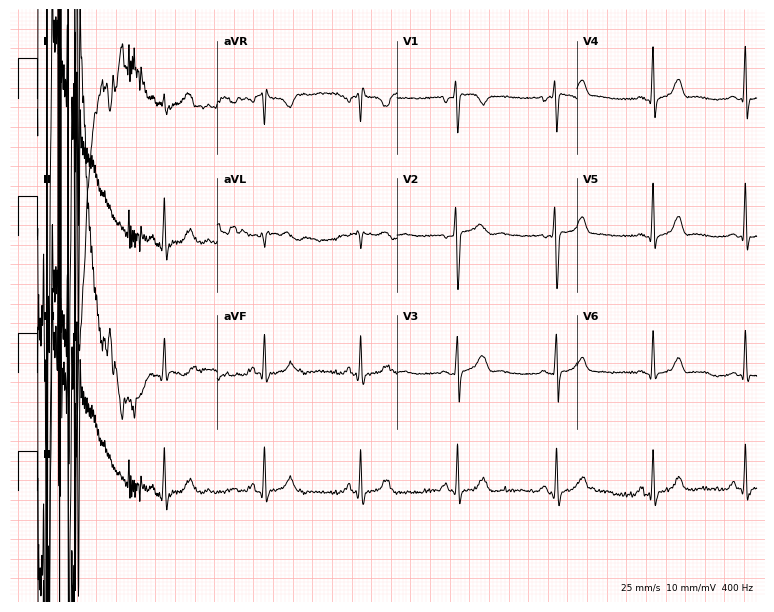
Resting 12-lead electrocardiogram (7.3-second recording at 400 Hz). Patient: a man, 33 years old. Read as a normal ECG.